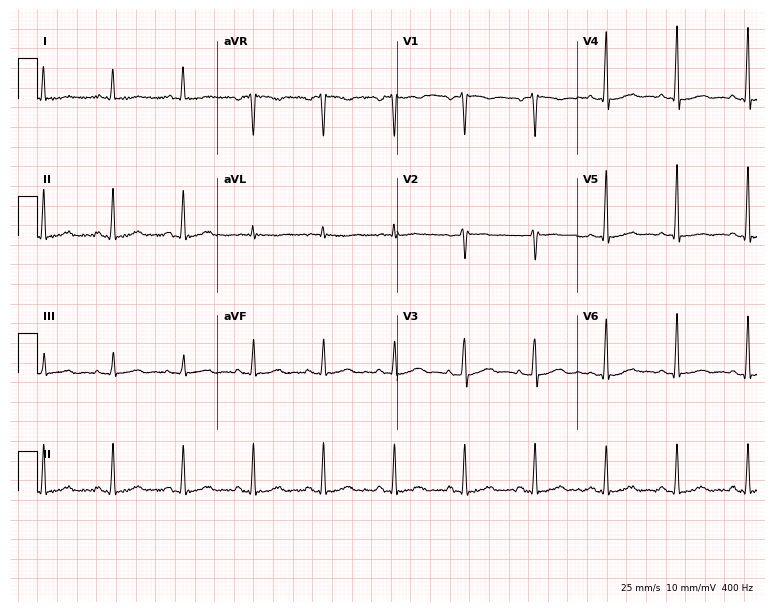
Electrocardiogram (7.3-second recording at 400 Hz), a woman, 45 years old. Of the six screened findings (first-degree AV block, right bundle branch block (RBBB), left bundle branch block (LBBB), sinus bradycardia, atrial fibrillation (AF), sinus tachycardia), none is recorded. Other findings, if any, are not listed.